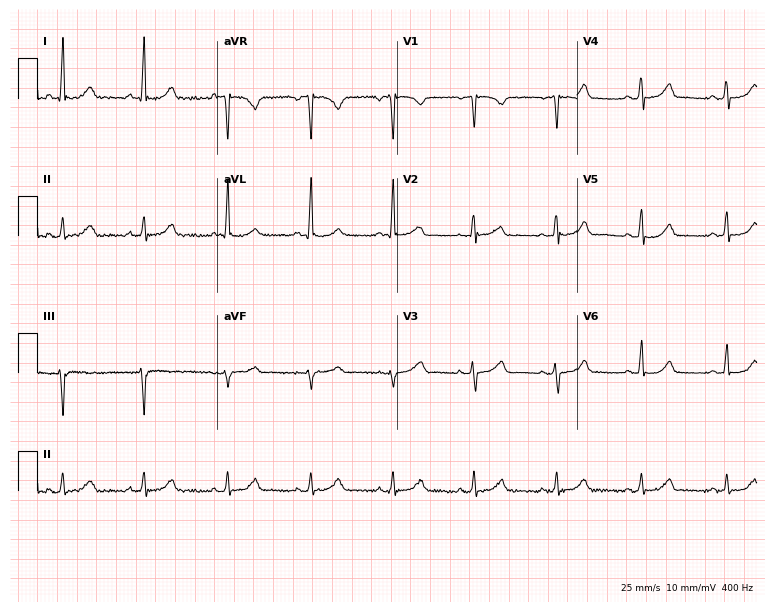
Resting 12-lead electrocardiogram (7.3-second recording at 400 Hz). Patient: a female, 51 years old. Read as a normal ECG.